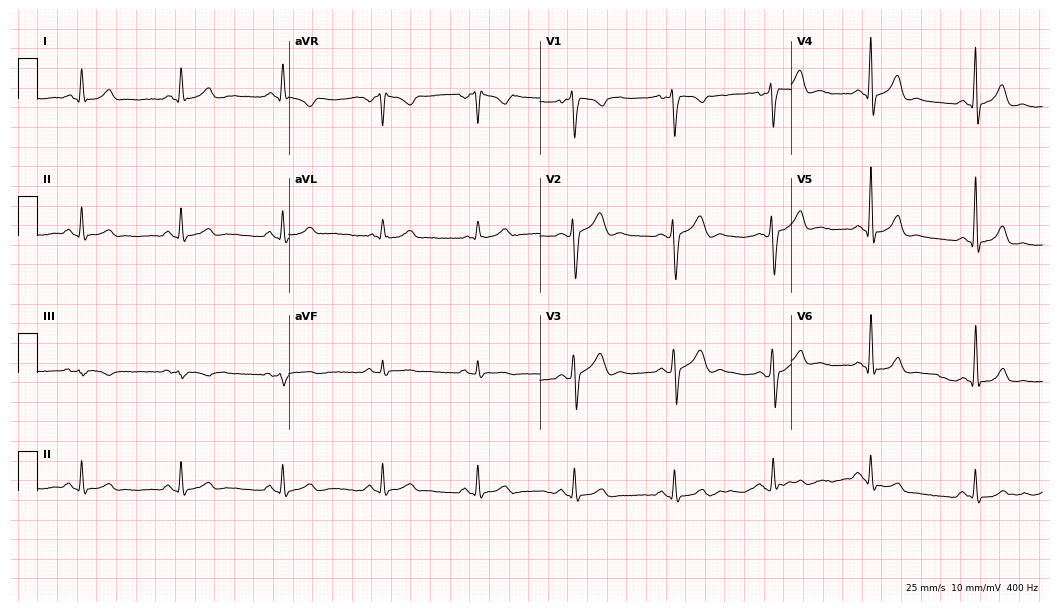
12-lead ECG from a male, 41 years old (10.2-second recording at 400 Hz). No first-degree AV block, right bundle branch block, left bundle branch block, sinus bradycardia, atrial fibrillation or sinus tachycardia recorded for this tracing. Other findings, if any, are not listed.